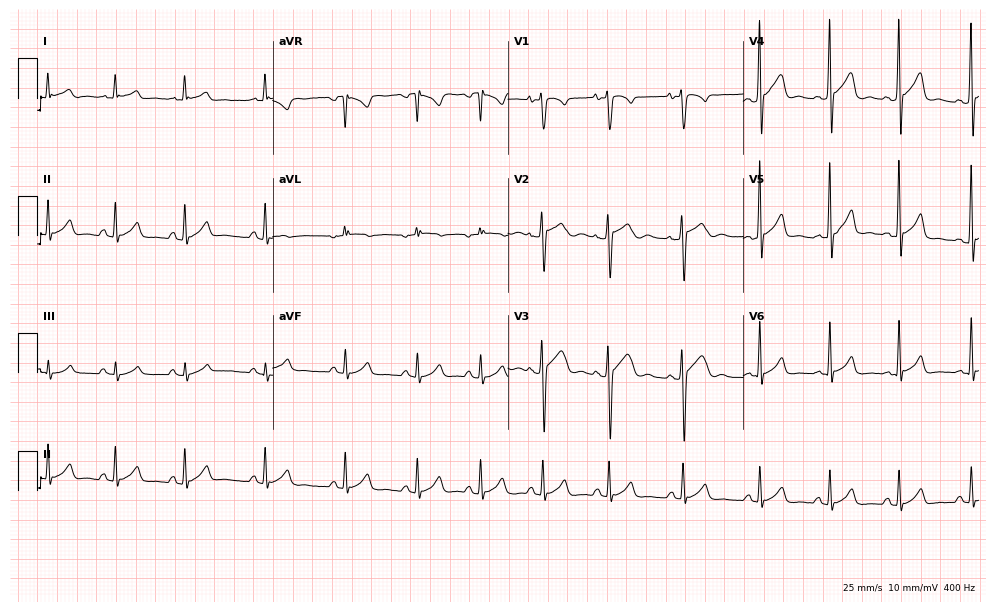
ECG (9.6-second recording at 400 Hz) — a man, 26 years old. Labelled as a normal ECG.